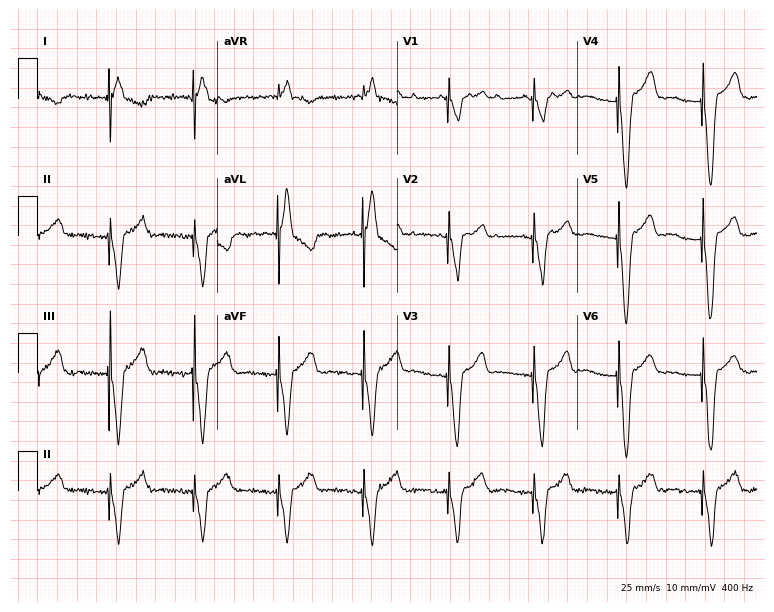
Resting 12-lead electrocardiogram (7.3-second recording at 400 Hz). Patient: a female, 84 years old. None of these six findings is recorded: first-degree AV block, right bundle branch block (RBBB), left bundle branch block (LBBB), sinus bradycardia, atrial fibrillation (AF), sinus tachycardia. Findings outside these six are not listed.